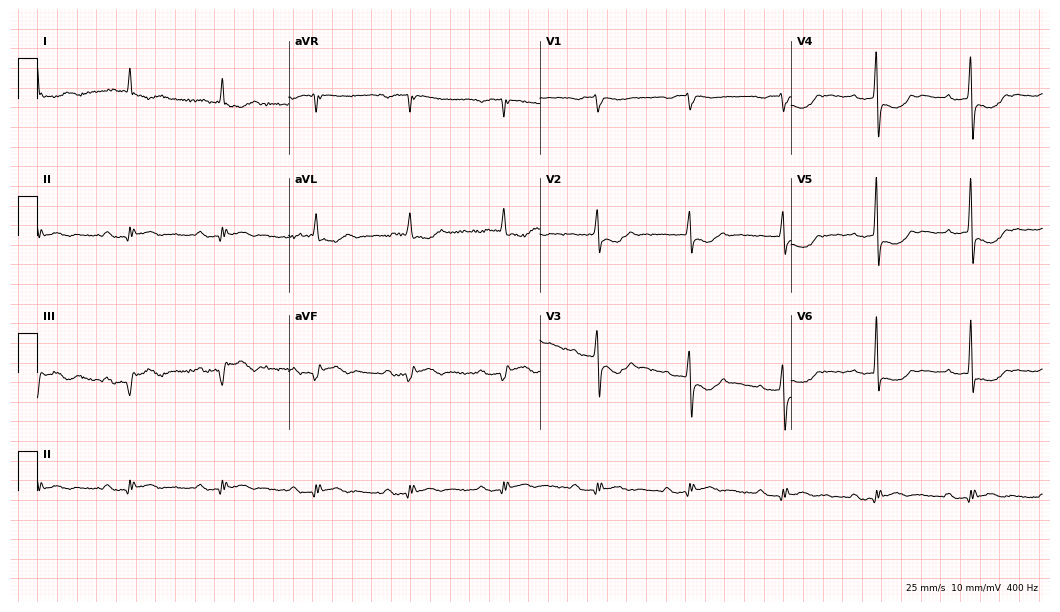
ECG — a male, 68 years old. Findings include first-degree AV block.